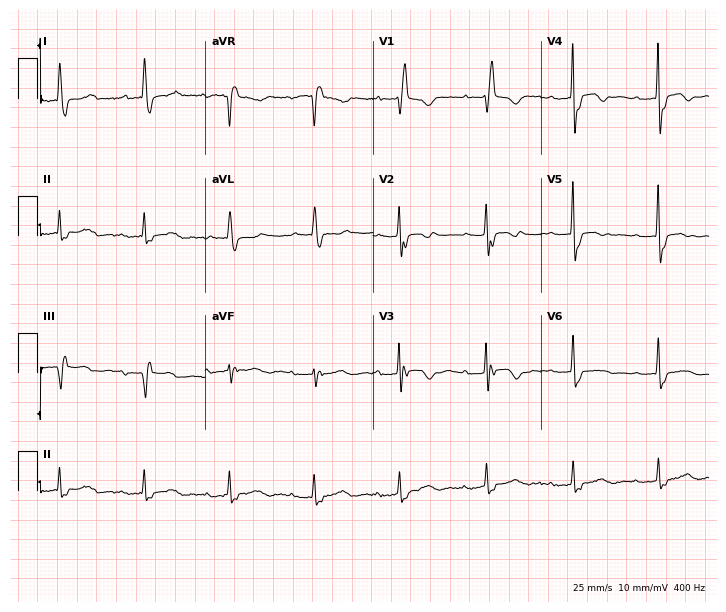
12-lead ECG from an 83-year-old female patient (6.8-second recording at 400 Hz). Shows first-degree AV block, right bundle branch block (RBBB).